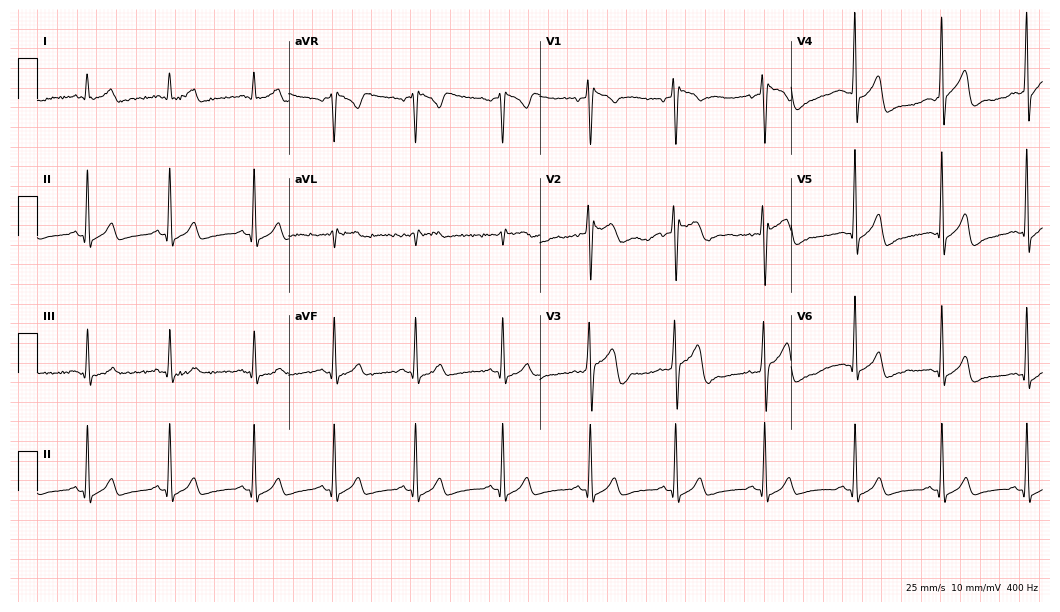
Standard 12-lead ECG recorded from a man, 23 years old (10.2-second recording at 400 Hz). Read as a normal ECG.